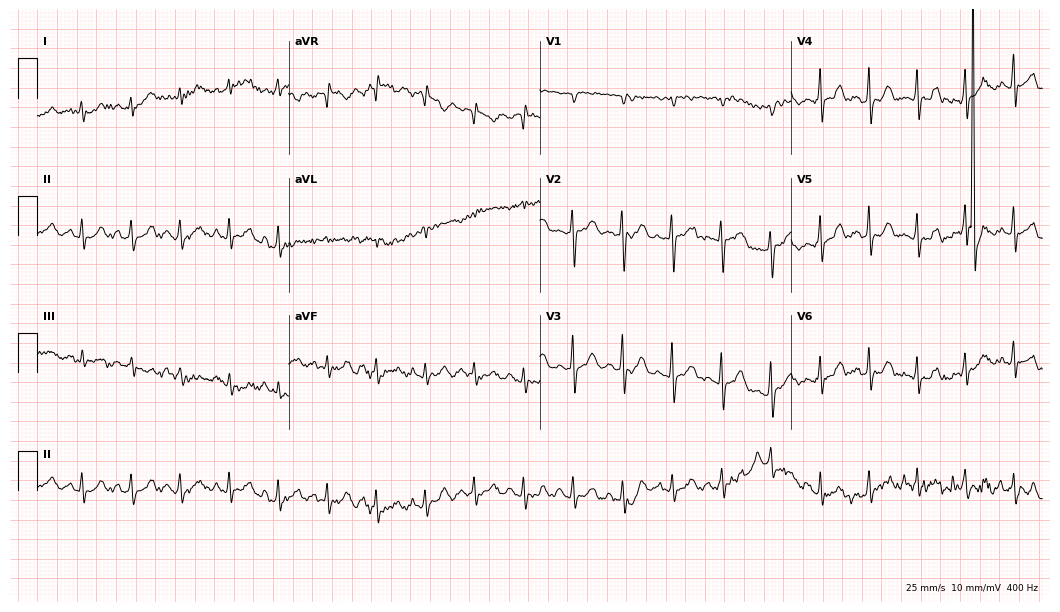
ECG (10.2-second recording at 400 Hz) — a female patient, 18 years old. Findings include sinus tachycardia (a sinus rate of 100 beats per minute or more).